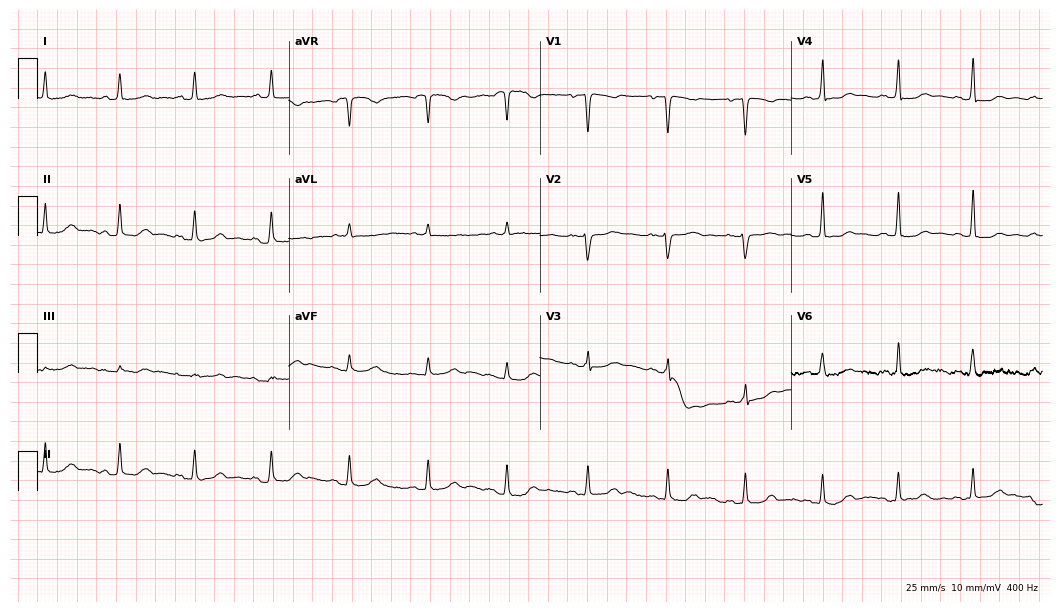
ECG — a 58-year-old female patient. Screened for six findings — first-degree AV block, right bundle branch block, left bundle branch block, sinus bradycardia, atrial fibrillation, sinus tachycardia — none is recorded. Other findings, if any, are not listed.